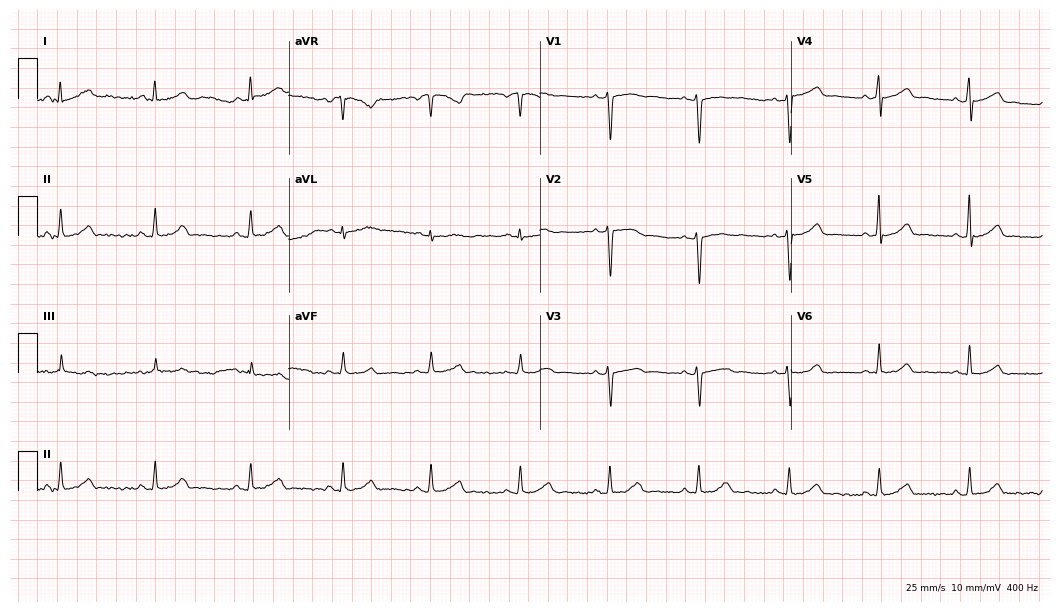
ECG (10.2-second recording at 400 Hz) — a woman, 42 years old. Labelled as a normal ECG.